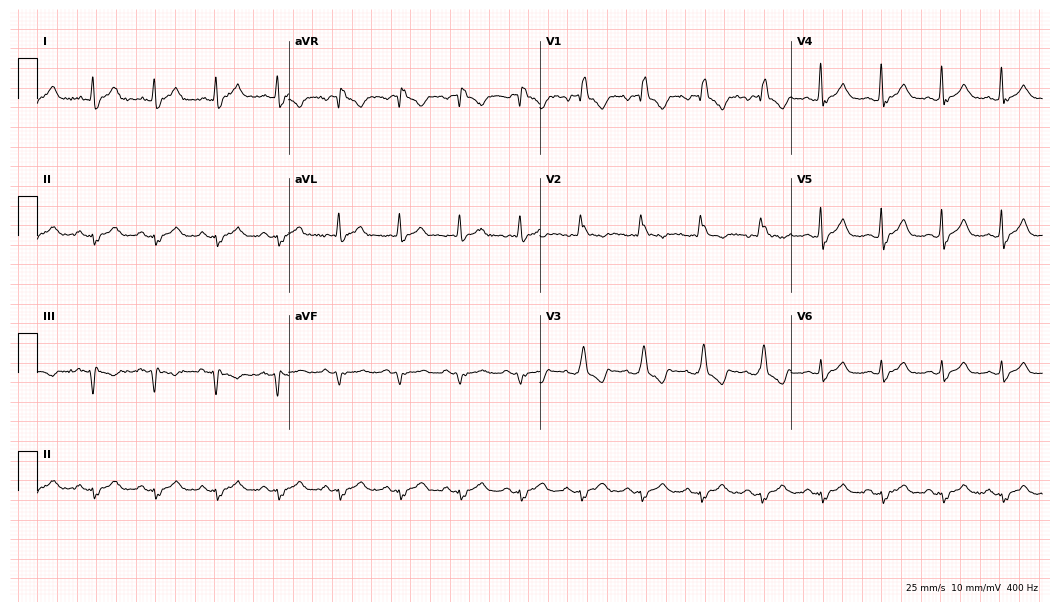
12-lead ECG from a male patient, 45 years old. Findings include right bundle branch block.